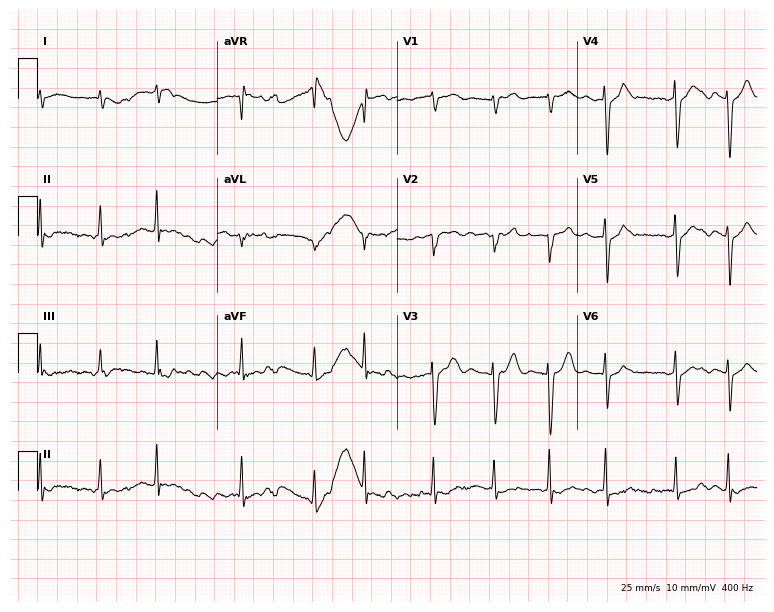
Electrocardiogram, a male, 76 years old. Interpretation includes atrial fibrillation (AF).